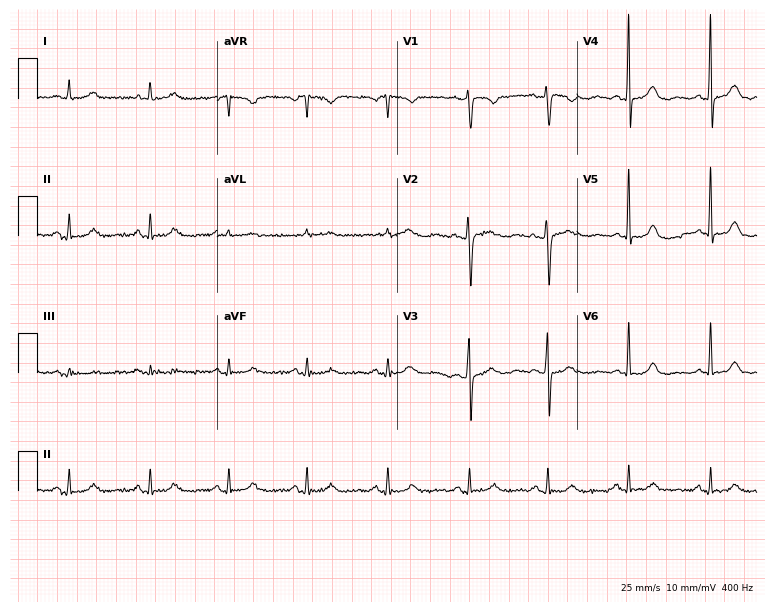
12-lead ECG (7.3-second recording at 400 Hz) from a female, 47 years old. Labelled as a normal ECG.